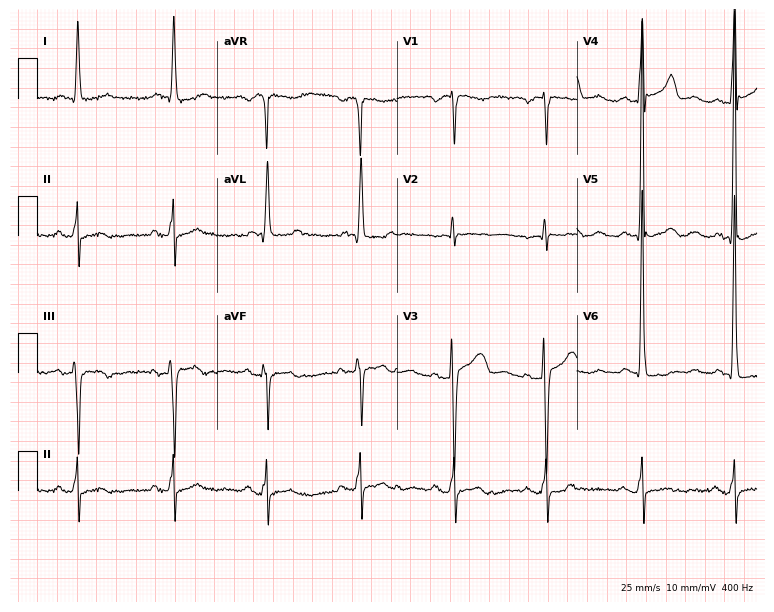
ECG (7.3-second recording at 400 Hz) — an 82-year-old female. Screened for six findings — first-degree AV block, right bundle branch block, left bundle branch block, sinus bradycardia, atrial fibrillation, sinus tachycardia — none is recorded.